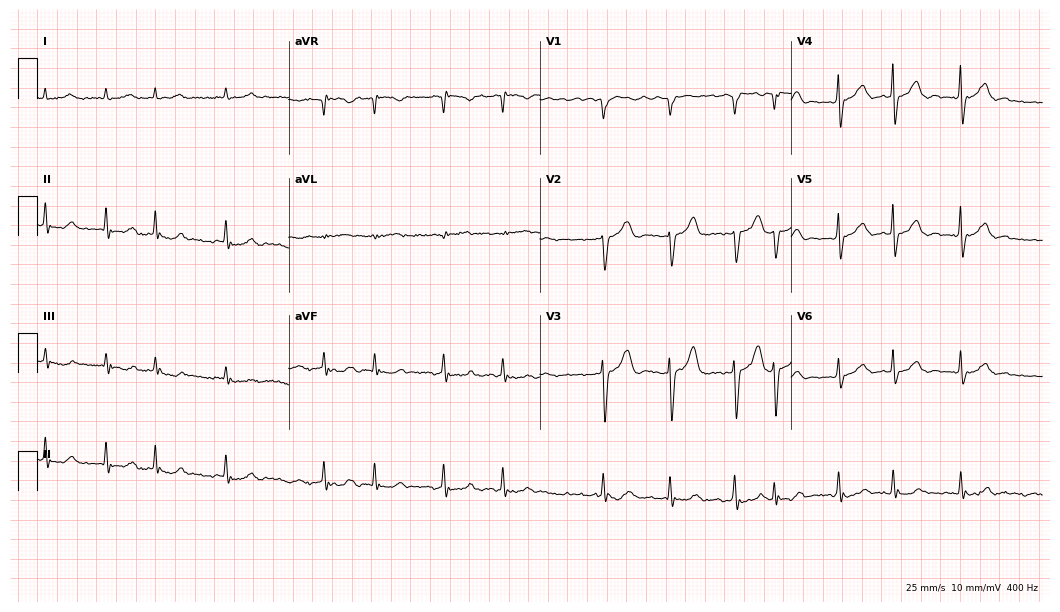
Electrocardiogram, a man, 85 years old. Interpretation includes atrial fibrillation.